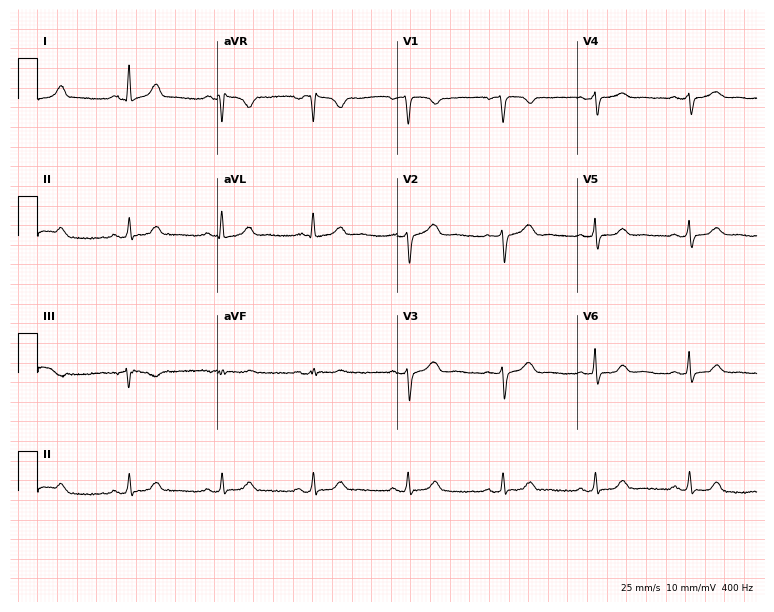
ECG (7.3-second recording at 400 Hz) — a woman, 54 years old. Screened for six findings — first-degree AV block, right bundle branch block (RBBB), left bundle branch block (LBBB), sinus bradycardia, atrial fibrillation (AF), sinus tachycardia — none is recorded.